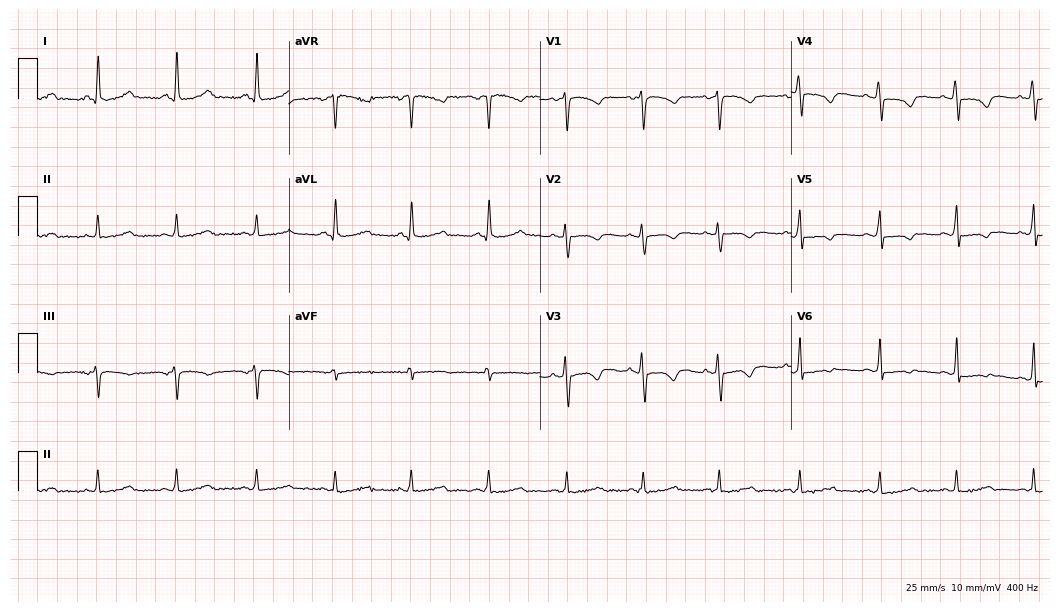
Standard 12-lead ECG recorded from a 41-year-old woman (10.2-second recording at 400 Hz). None of these six findings is recorded: first-degree AV block, right bundle branch block, left bundle branch block, sinus bradycardia, atrial fibrillation, sinus tachycardia.